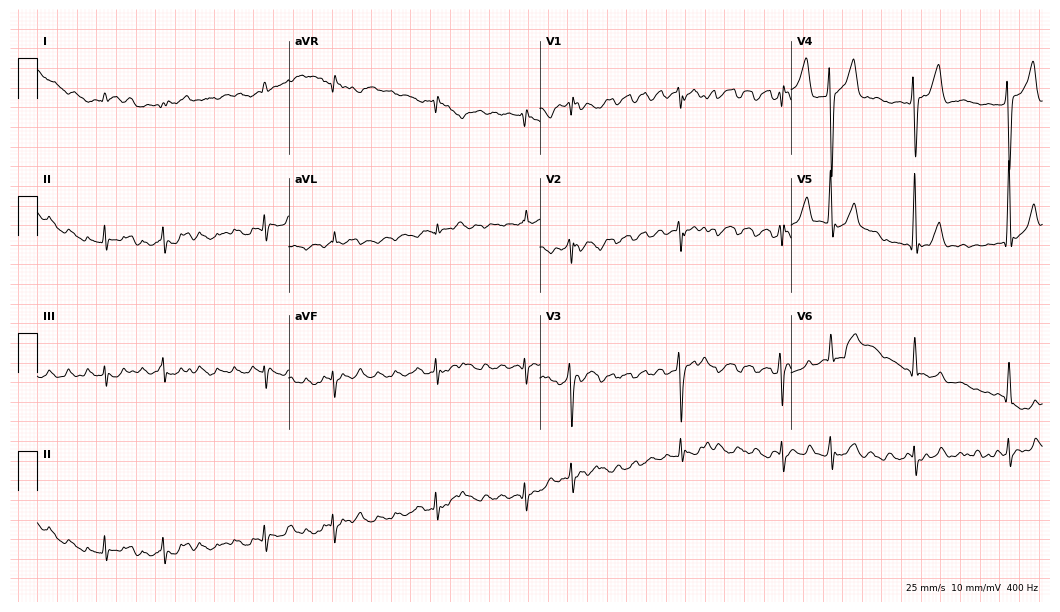
Electrocardiogram, a man, 52 years old. Of the six screened findings (first-degree AV block, right bundle branch block, left bundle branch block, sinus bradycardia, atrial fibrillation, sinus tachycardia), none is recorded. Other findings, if any, are not listed.